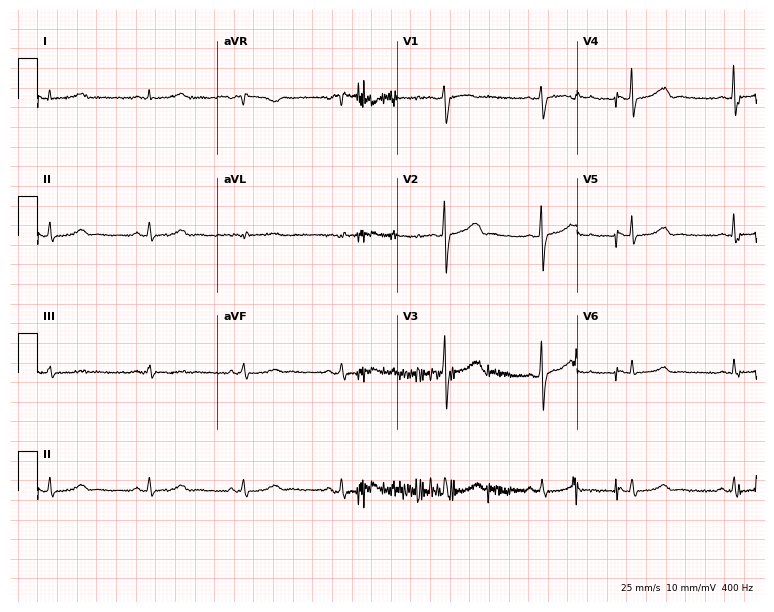
ECG — a 36-year-old female. Labelled as a normal ECG.